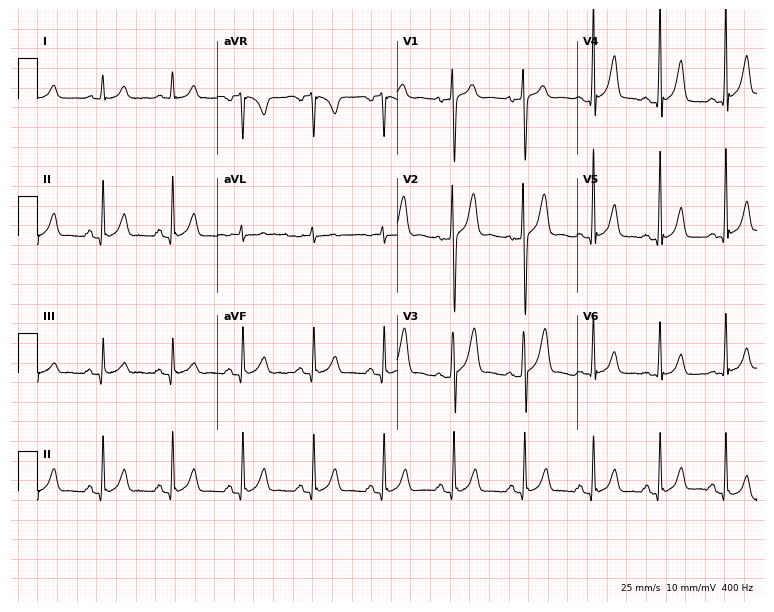
ECG (7.3-second recording at 400 Hz) — a 21-year-old male patient. Screened for six findings — first-degree AV block, right bundle branch block, left bundle branch block, sinus bradycardia, atrial fibrillation, sinus tachycardia — none is recorded. Other findings, if any, are not listed.